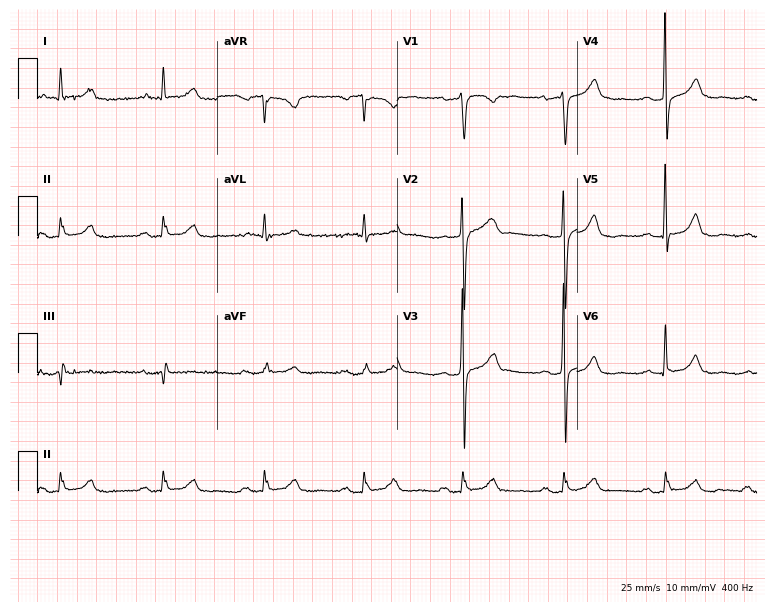
Standard 12-lead ECG recorded from a male patient, 81 years old (7.3-second recording at 400 Hz). Read as a normal ECG.